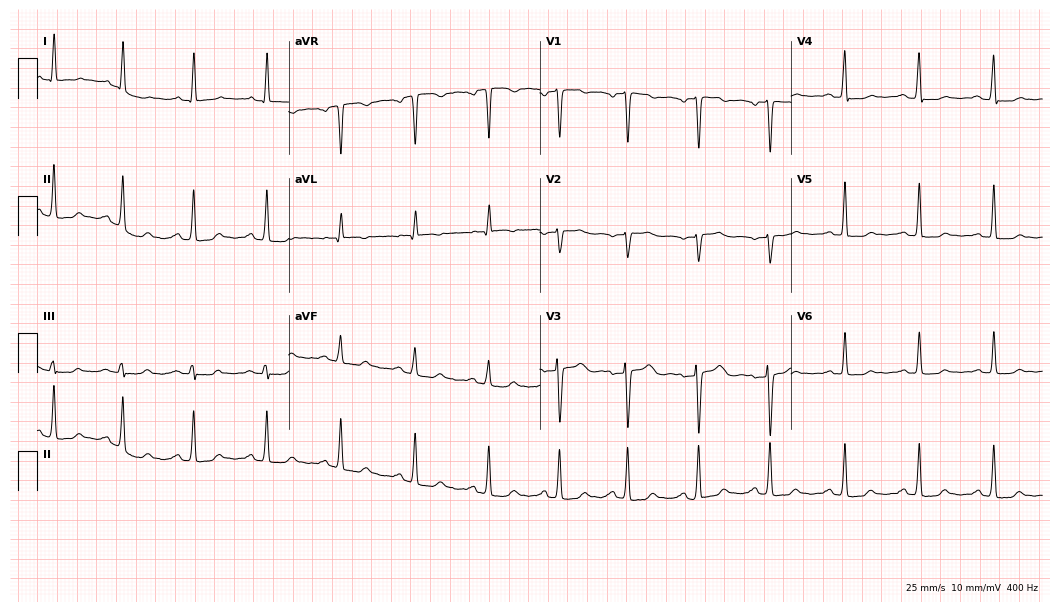
Standard 12-lead ECG recorded from a 47-year-old female patient (10.2-second recording at 400 Hz). Read as a normal ECG.